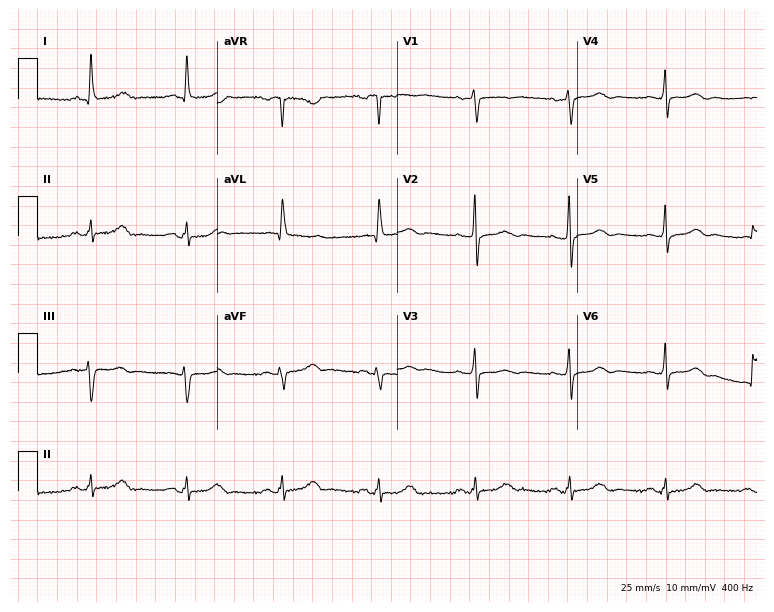
Resting 12-lead electrocardiogram (7.3-second recording at 400 Hz). Patient: a 65-year-old female. Read as a normal ECG.